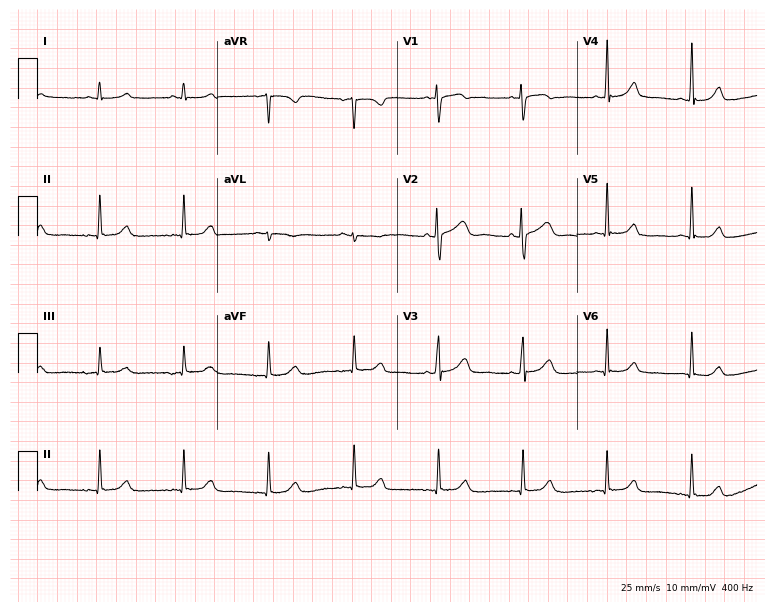
12-lead ECG (7.3-second recording at 400 Hz) from a 37-year-old female. Labelled as a normal ECG.